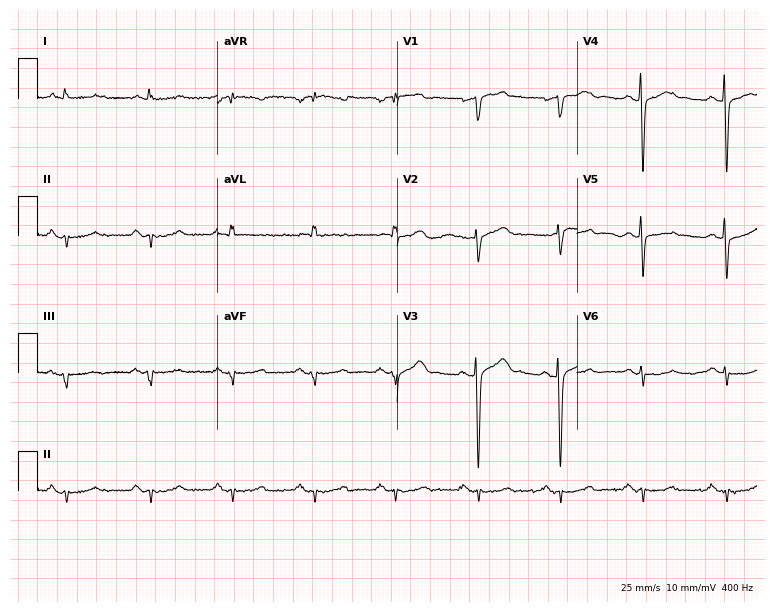
Electrocardiogram, a man, 62 years old. Of the six screened findings (first-degree AV block, right bundle branch block (RBBB), left bundle branch block (LBBB), sinus bradycardia, atrial fibrillation (AF), sinus tachycardia), none is recorded. Only these six findings were labelled.